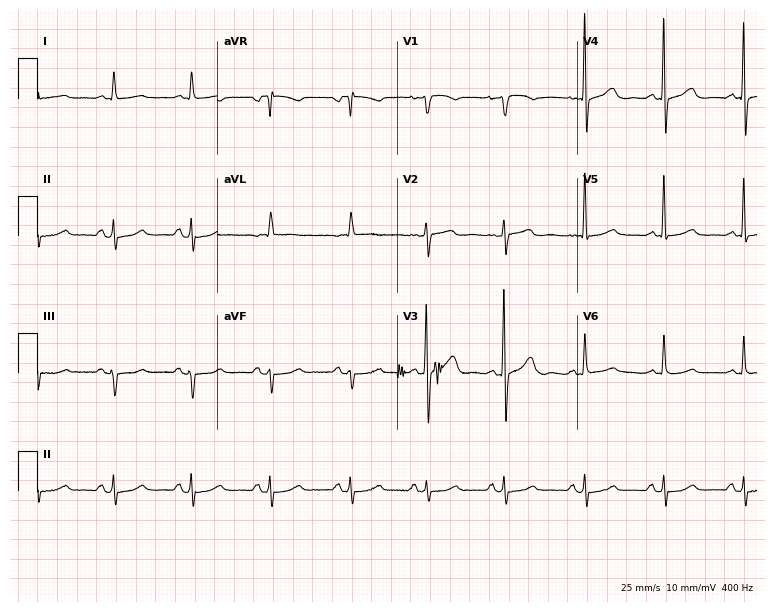
ECG — a female patient, 79 years old. Screened for six findings — first-degree AV block, right bundle branch block (RBBB), left bundle branch block (LBBB), sinus bradycardia, atrial fibrillation (AF), sinus tachycardia — none is recorded. Findings outside these six are not listed.